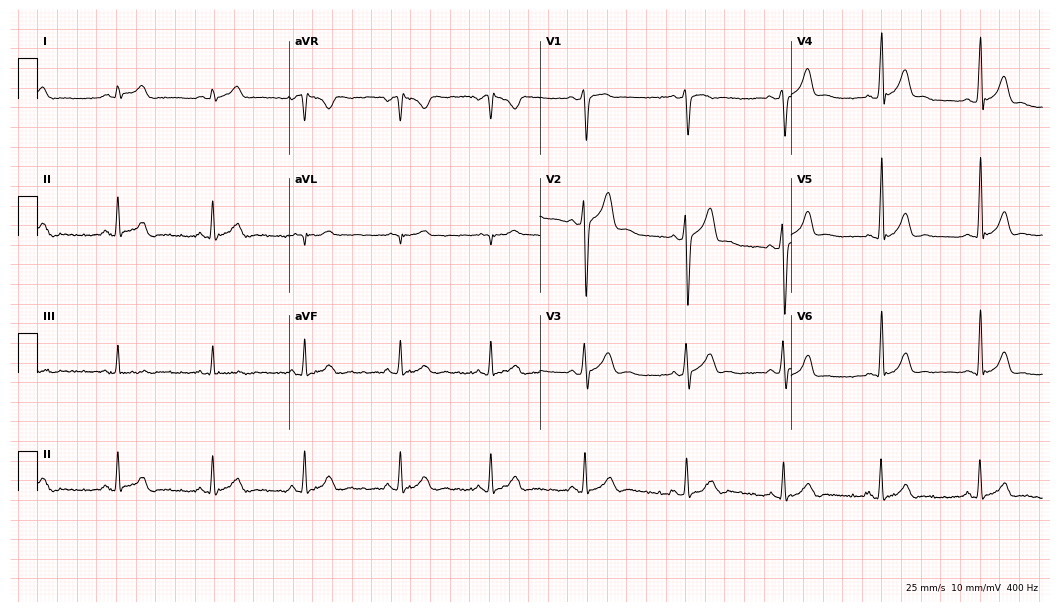
ECG — a 21-year-old male. Labelled as a normal ECG.